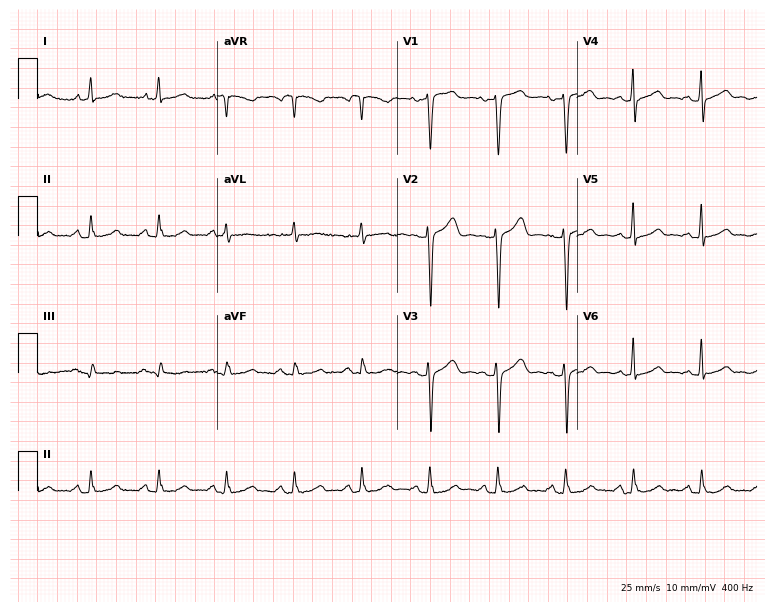
Standard 12-lead ECG recorded from a 62-year-old female (7.3-second recording at 400 Hz). None of these six findings is recorded: first-degree AV block, right bundle branch block (RBBB), left bundle branch block (LBBB), sinus bradycardia, atrial fibrillation (AF), sinus tachycardia.